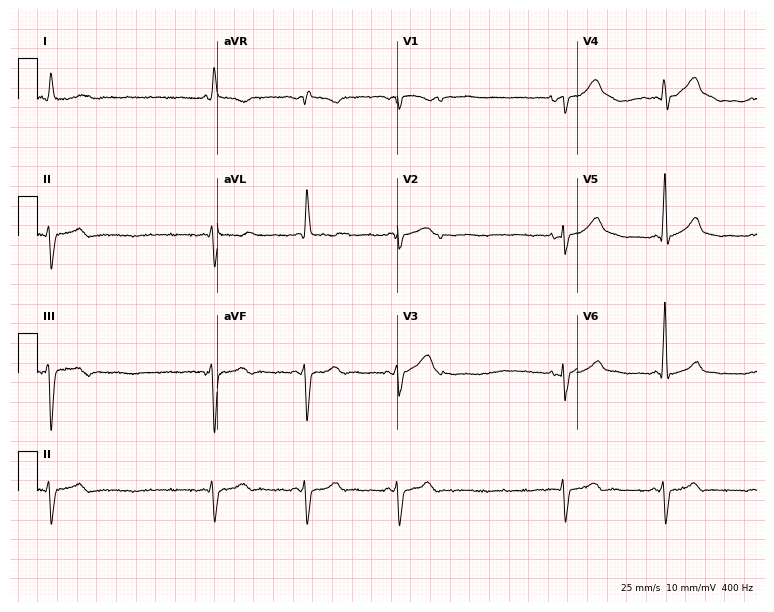
ECG (7.3-second recording at 400 Hz) — an 81-year-old man. Screened for six findings — first-degree AV block, right bundle branch block, left bundle branch block, sinus bradycardia, atrial fibrillation, sinus tachycardia — none is recorded.